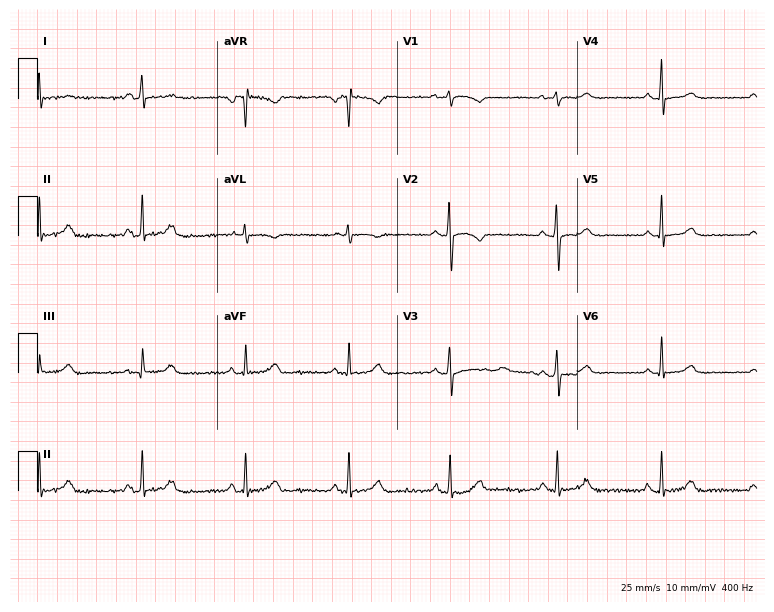
Standard 12-lead ECG recorded from a woman, 54 years old (7.3-second recording at 400 Hz). Read as a normal ECG.